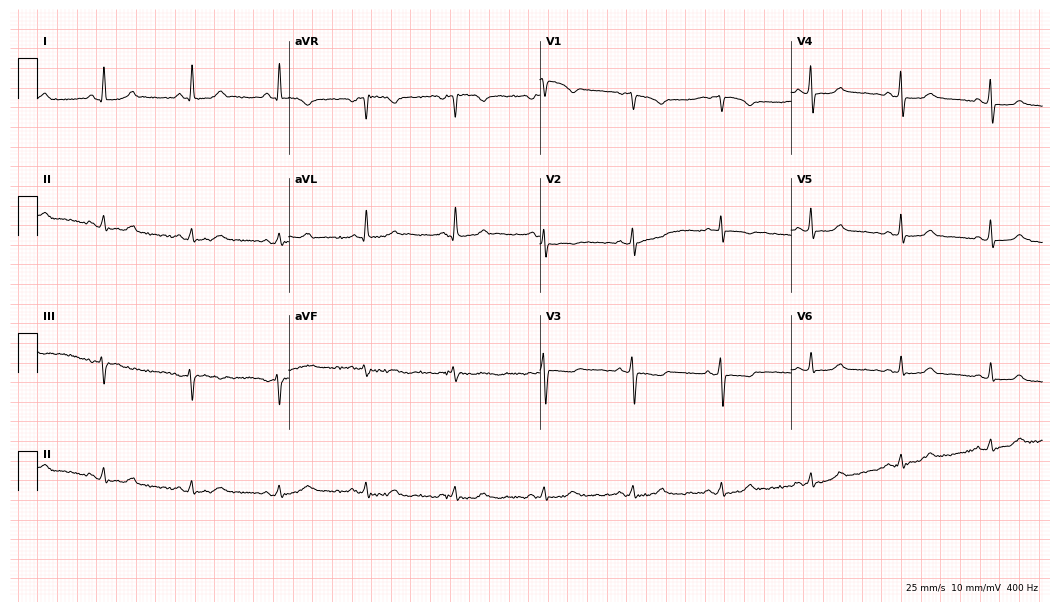
12-lead ECG from a woman, 57 years old. Recorded interpretation: within normal limits.